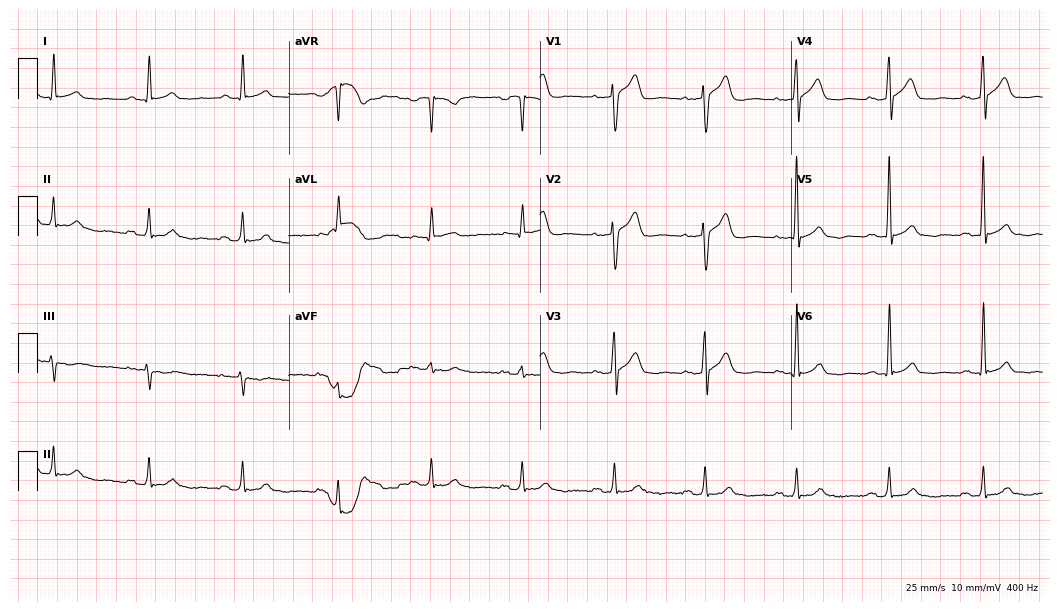
12-lead ECG from a 60-year-old man (10.2-second recording at 400 Hz). No first-degree AV block, right bundle branch block, left bundle branch block, sinus bradycardia, atrial fibrillation or sinus tachycardia recorded for this tracing. Only these six findings were labelled.